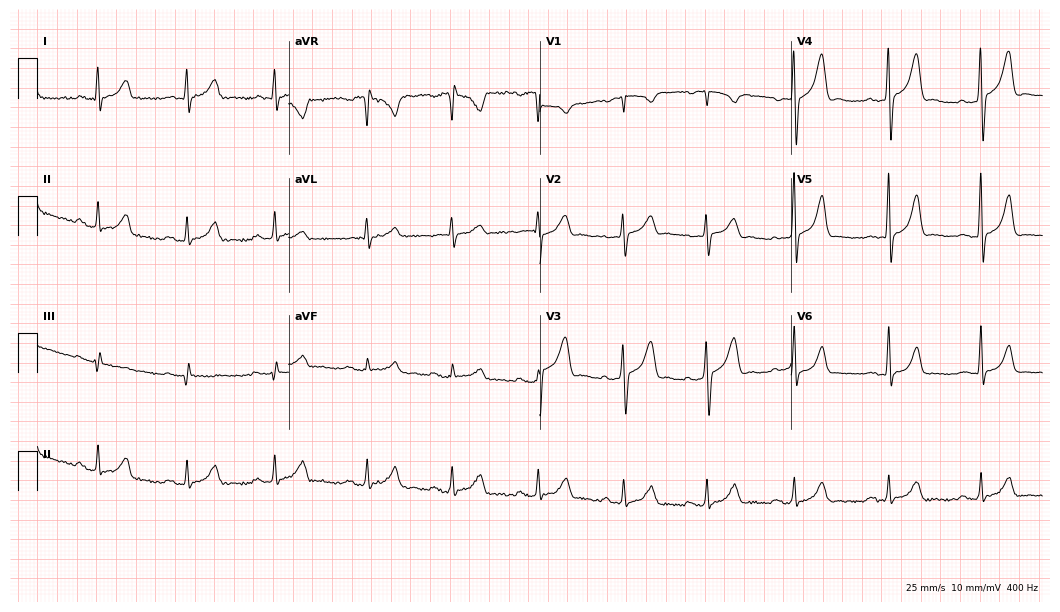
ECG — a male, 28 years old. Labelled as a normal ECG.